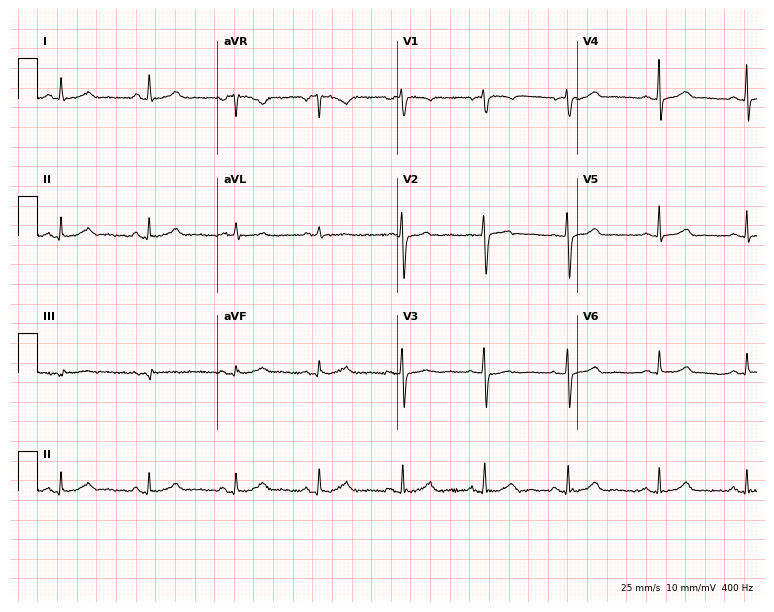
ECG (7.3-second recording at 400 Hz) — a female, 48 years old. Labelled as a normal ECG.